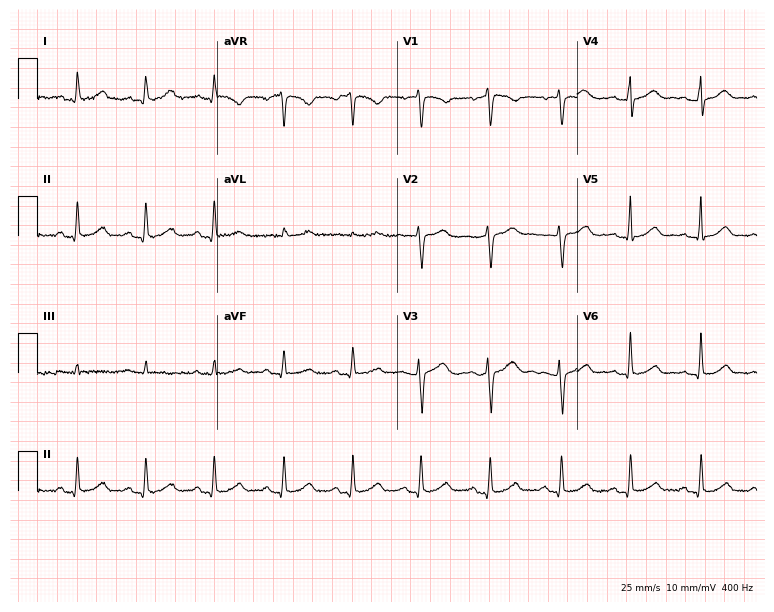
Electrocardiogram, a 33-year-old female. Overall reading on record: normal ECG.